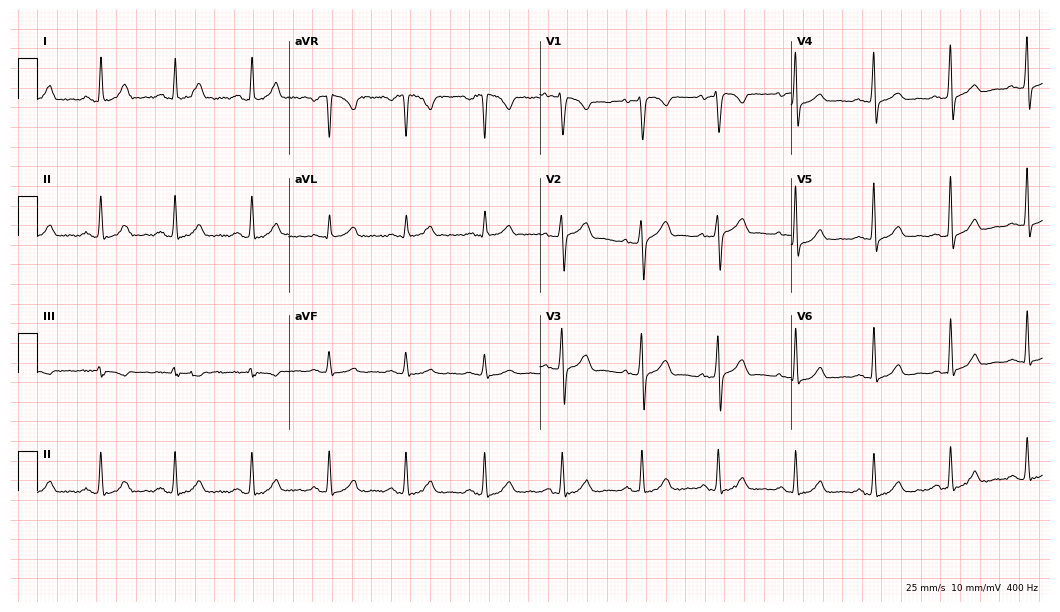
ECG (10.2-second recording at 400 Hz) — a 36-year-old female patient. Labelled as a normal ECG.